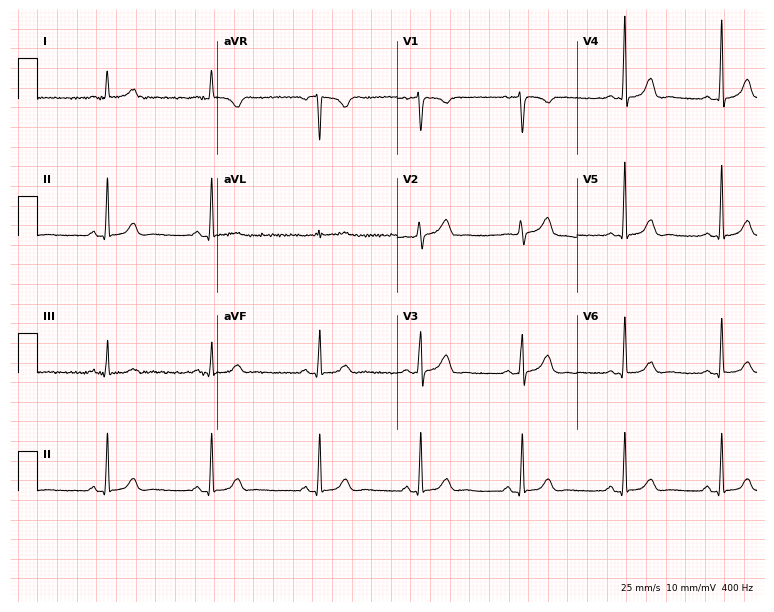
12-lead ECG from a female patient, 52 years old. Recorded interpretation: within normal limits.